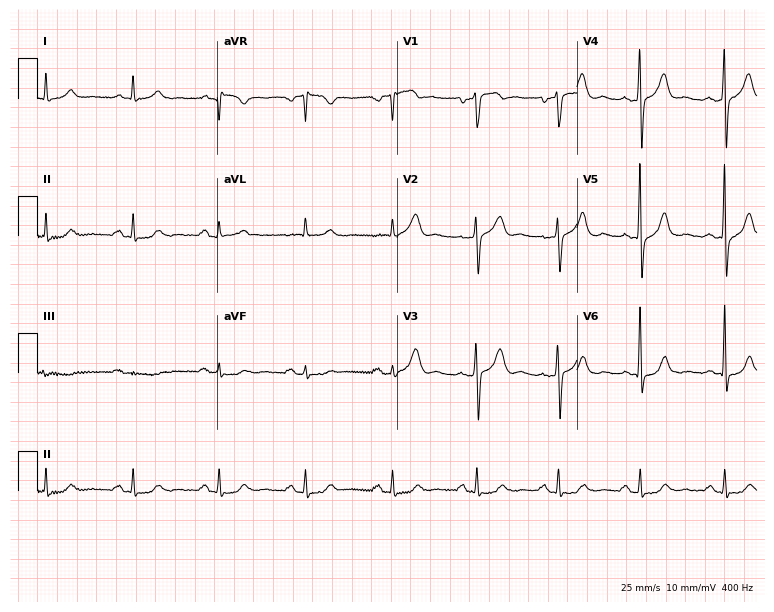
12-lead ECG (7.3-second recording at 400 Hz) from a male, 71 years old. Labelled as a normal ECG.